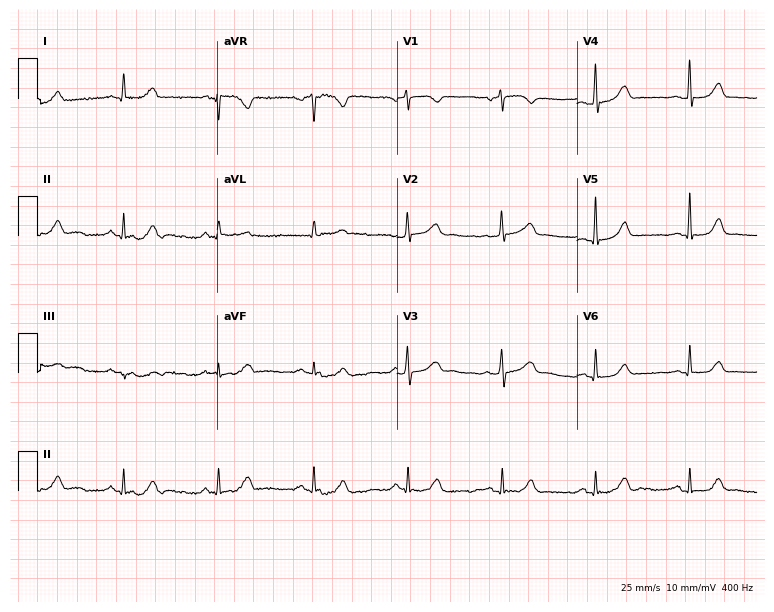
12-lead ECG (7.3-second recording at 400 Hz) from a 76-year-old female patient. Labelled as a normal ECG.